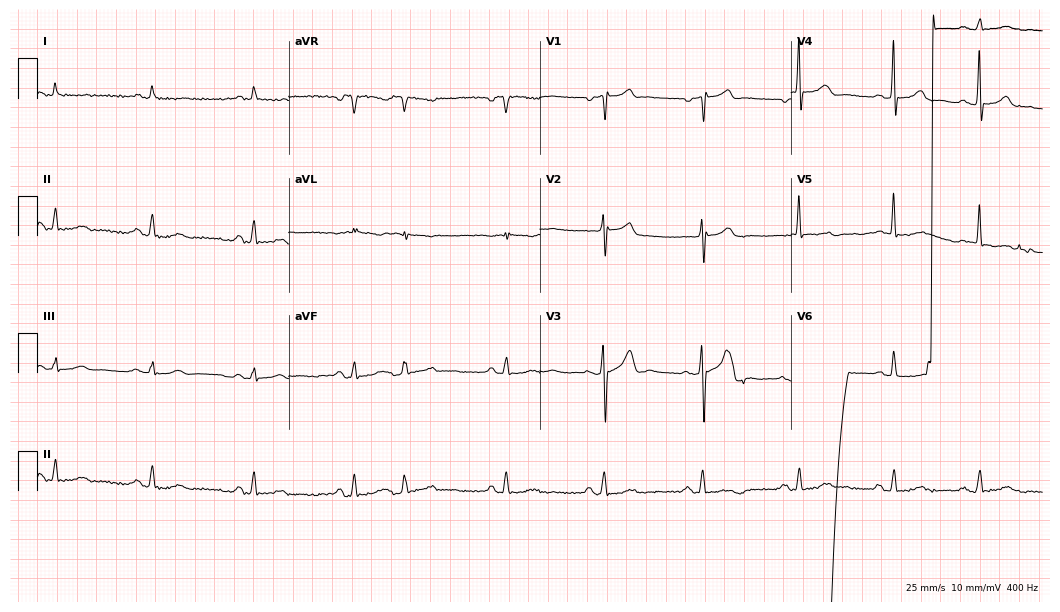
12-lead ECG from an 83-year-old male (10.2-second recording at 400 Hz). No first-degree AV block, right bundle branch block, left bundle branch block, sinus bradycardia, atrial fibrillation or sinus tachycardia recorded for this tracing.